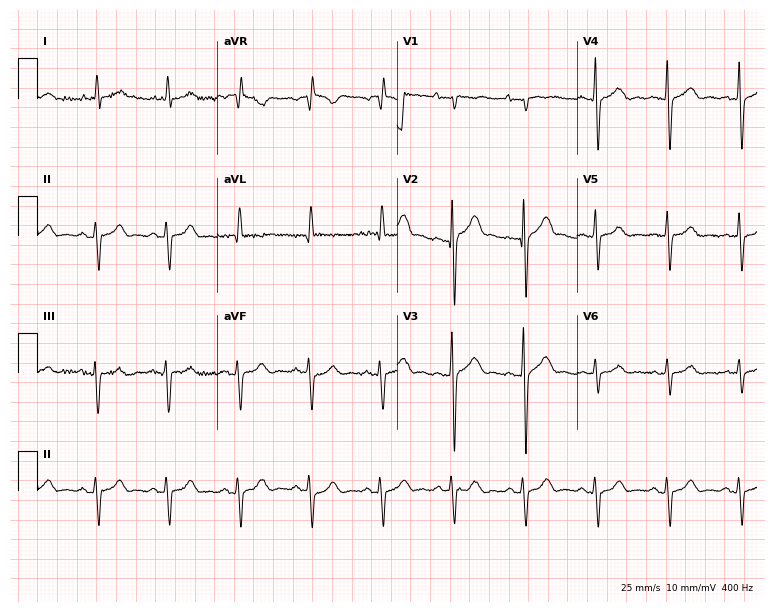
12-lead ECG from a male, 69 years old. No first-degree AV block, right bundle branch block, left bundle branch block, sinus bradycardia, atrial fibrillation or sinus tachycardia recorded for this tracing. Findings outside these six are not listed.